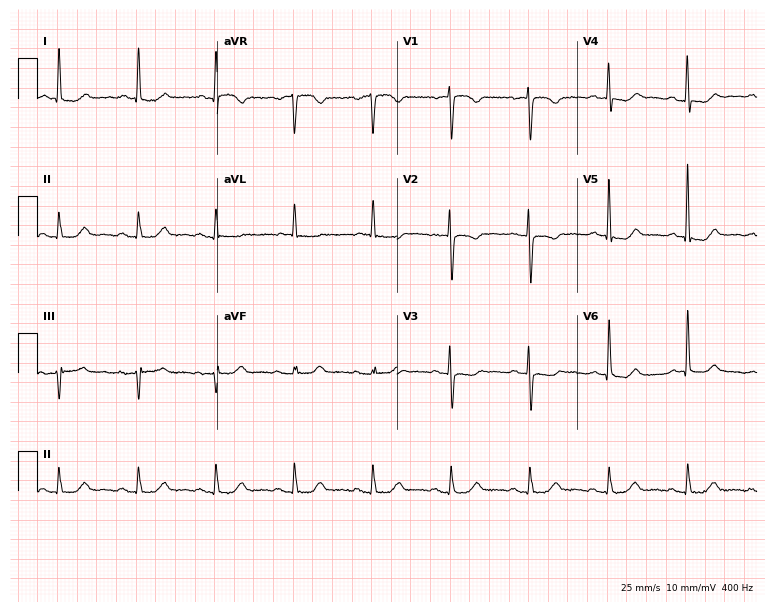
12-lead ECG from a female, 82 years old. Recorded interpretation: within normal limits.